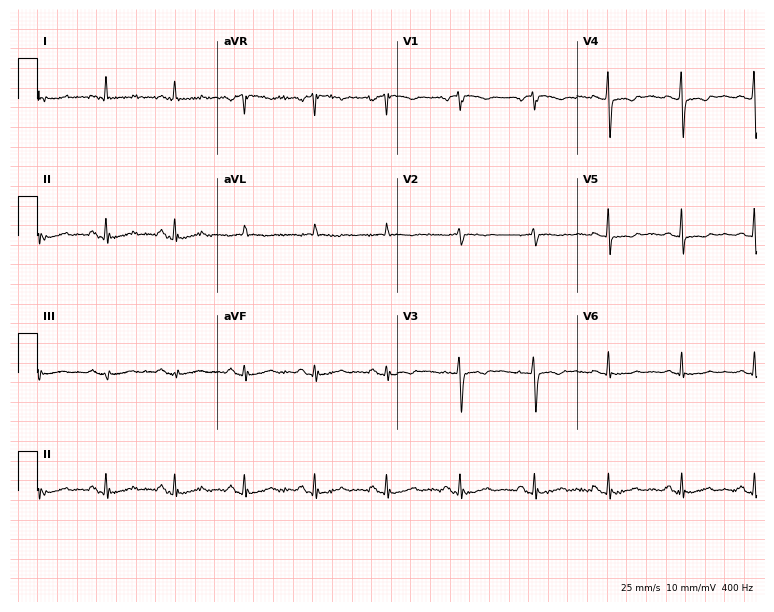
12-lead ECG from a female, 73 years old (7.3-second recording at 400 Hz). No first-degree AV block, right bundle branch block, left bundle branch block, sinus bradycardia, atrial fibrillation or sinus tachycardia recorded for this tracing.